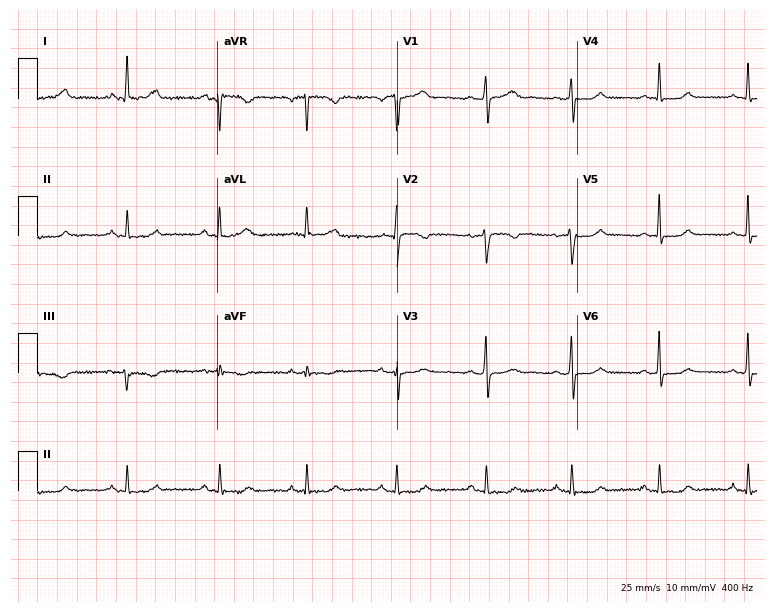
12-lead ECG from a 48-year-old female (7.3-second recording at 400 Hz). Recorded interpretation: within normal limits.